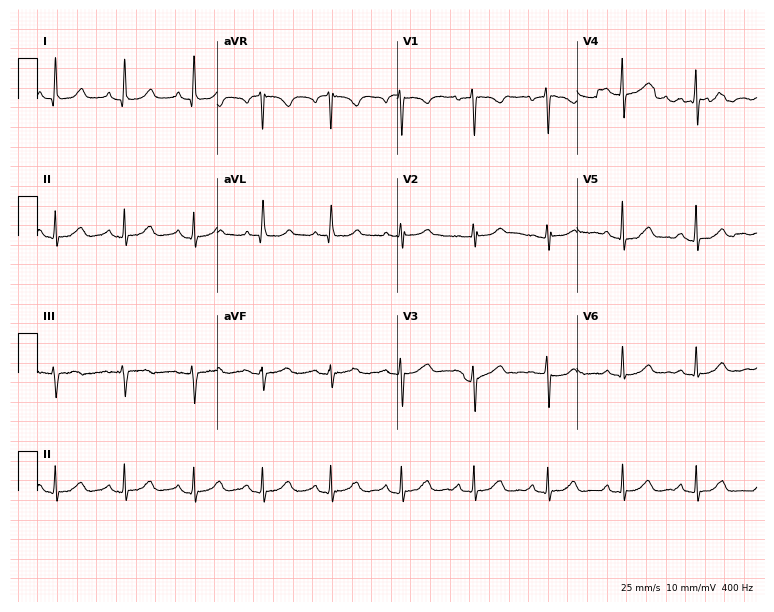
12-lead ECG from a female patient, 66 years old. Labelled as a normal ECG.